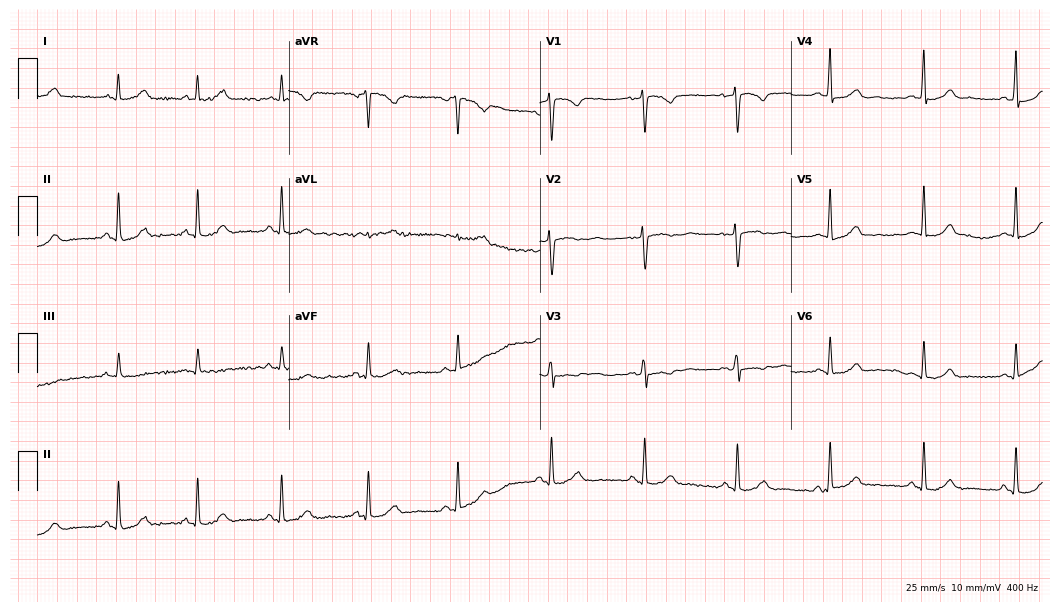
12-lead ECG from a female patient, 40 years old. Screened for six findings — first-degree AV block, right bundle branch block (RBBB), left bundle branch block (LBBB), sinus bradycardia, atrial fibrillation (AF), sinus tachycardia — none is recorded.